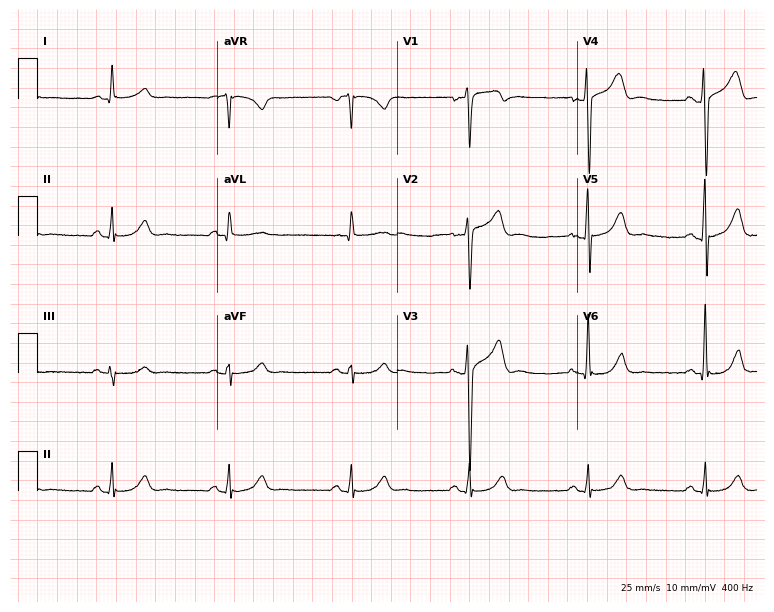
ECG — a 61-year-old man. Screened for six findings — first-degree AV block, right bundle branch block (RBBB), left bundle branch block (LBBB), sinus bradycardia, atrial fibrillation (AF), sinus tachycardia — none is recorded.